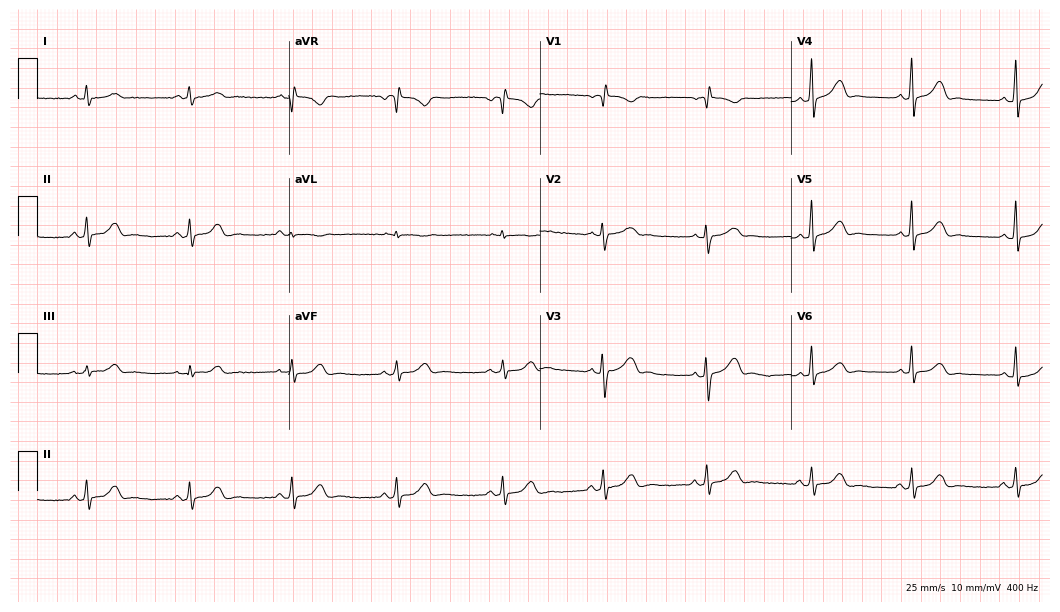
Resting 12-lead electrocardiogram (10.2-second recording at 400 Hz). Patient: a female, 33 years old. Read as a normal ECG.